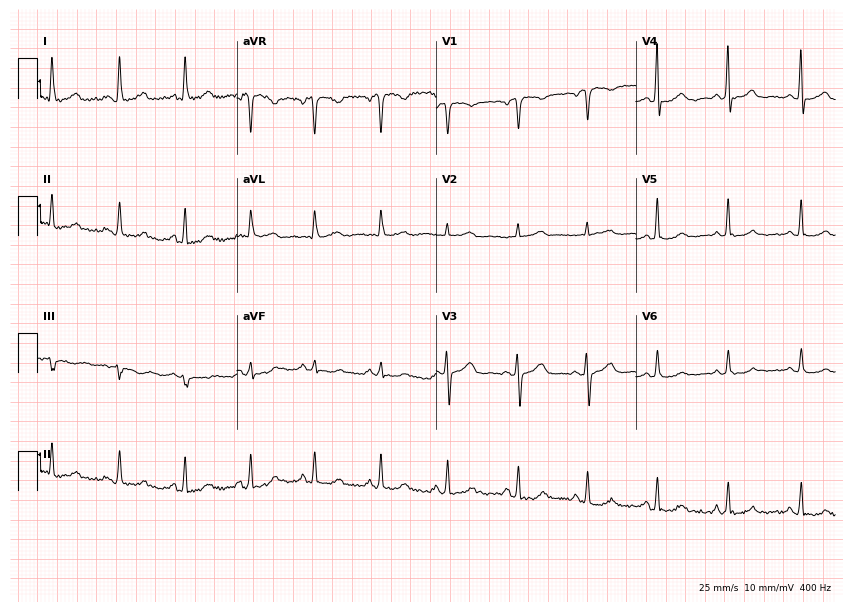
Resting 12-lead electrocardiogram (8.1-second recording at 400 Hz). Patient: a female, 67 years old. Read as a normal ECG.